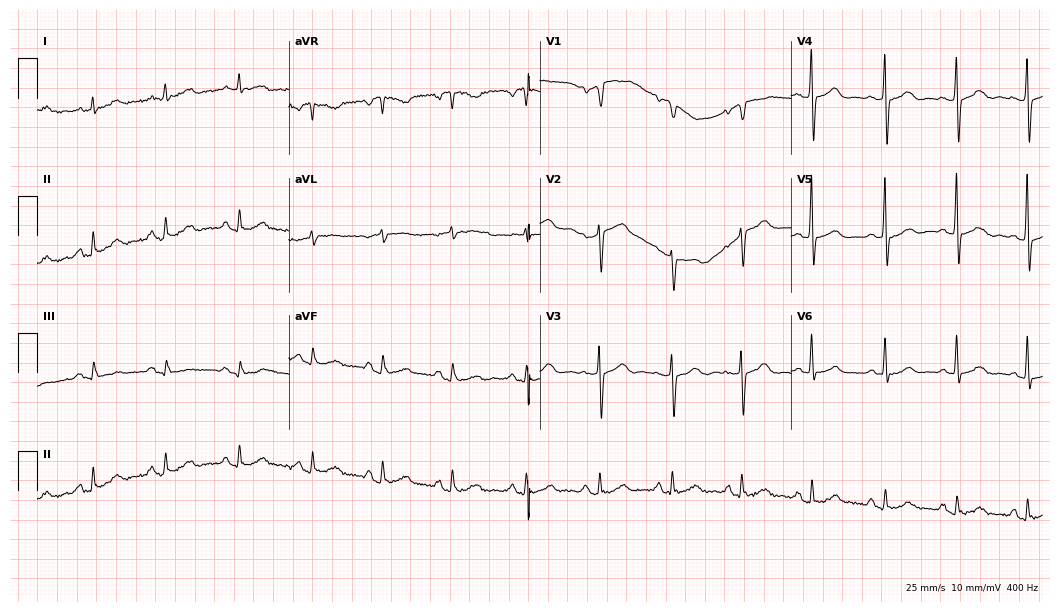
Standard 12-lead ECG recorded from a woman, 70 years old. None of these six findings is recorded: first-degree AV block, right bundle branch block, left bundle branch block, sinus bradycardia, atrial fibrillation, sinus tachycardia. Findings outside these six are not listed.